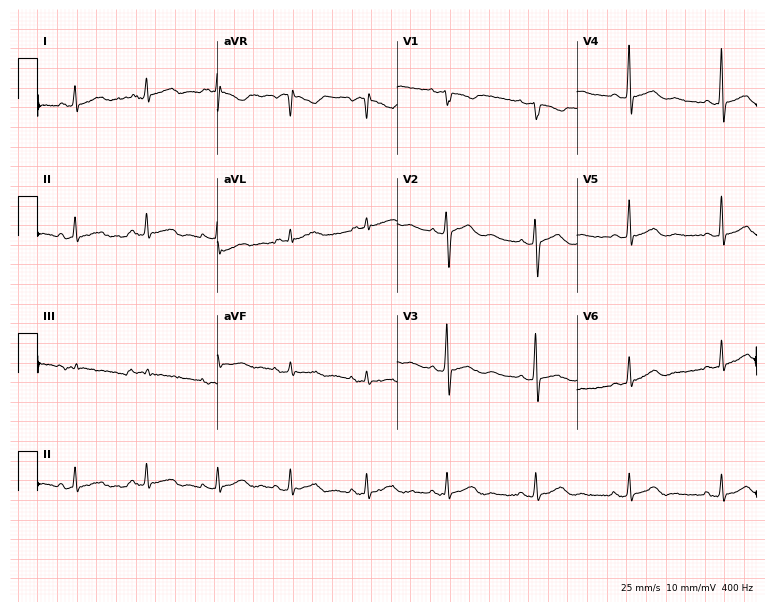
Electrocardiogram (7.3-second recording at 400 Hz), a 54-year-old male patient. Of the six screened findings (first-degree AV block, right bundle branch block (RBBB), left bundle branch block (LBBB), sinus bradycardia, atrial fibrillation (AF), sinus tachycardia), none is recorded. Findings outside these six are not listed.